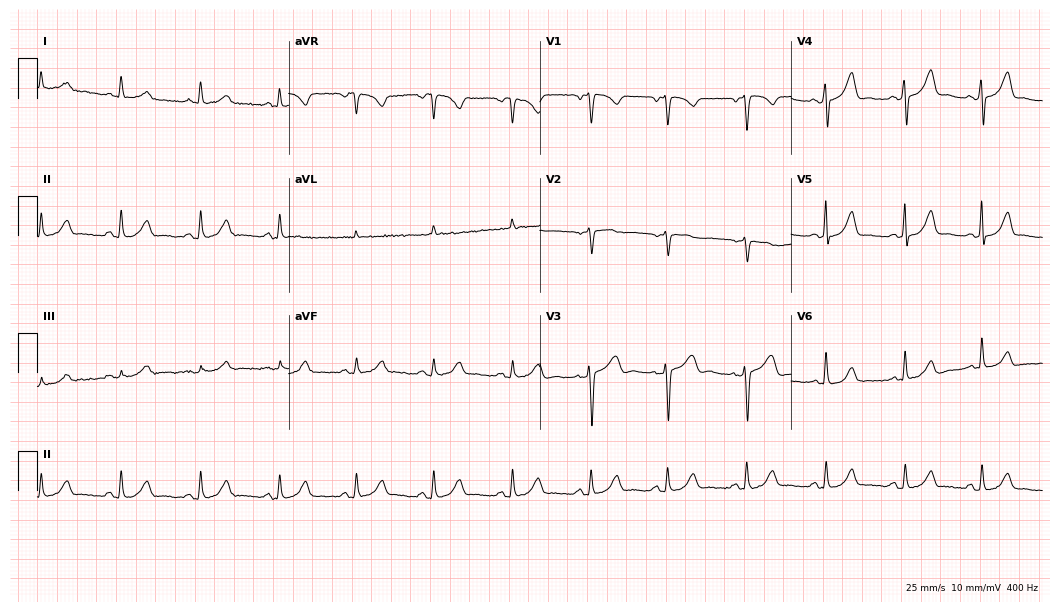
Standard 12-lead ECG recorded from a female, 45 years old (10.2-second recording at 400 Hz). Read as a normal ECG.